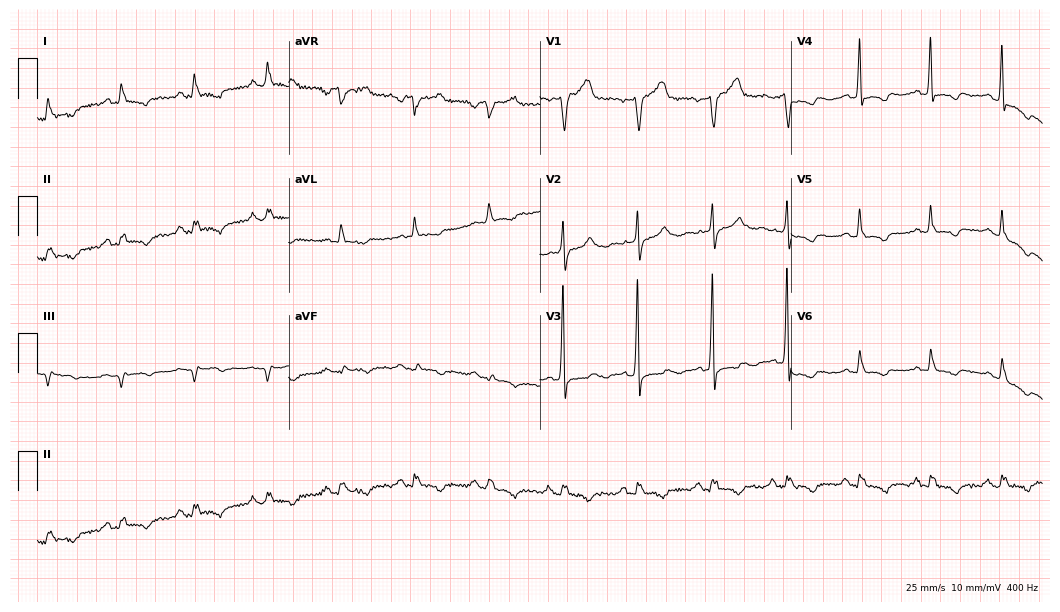
ECG (10.2-second recording at 400 Hz) — a 59-year-old male patient. Screened for six findings — first-degree AV block, right bundle branch block, left bundle branch block, sinus bradycardia, atrial fibrillation, sinus tachycardia — none is recorded. Findings outside these six are not listed.